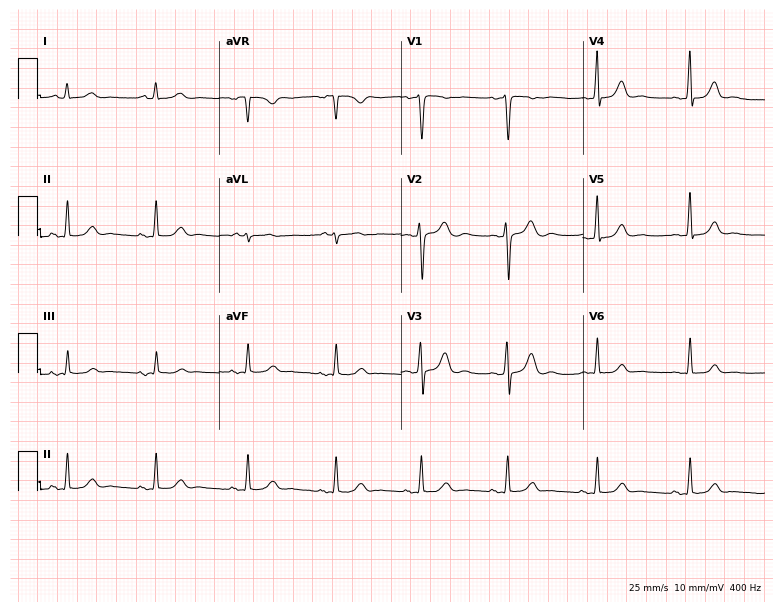
Standard 12-lead ECG recorded from a 26-year-old female (7.4-second recording at 400 Hz). Read as a normal ECG.